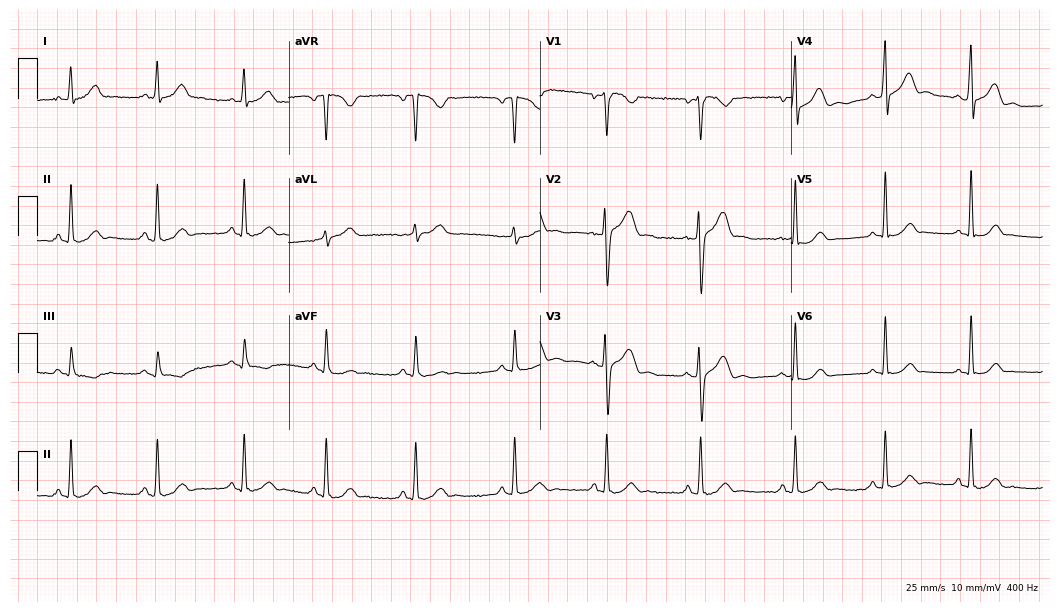
12-lead ECG (10.2-second recording at 400 Hz) from a male, 38 years old. Labelled as a normal ECG.